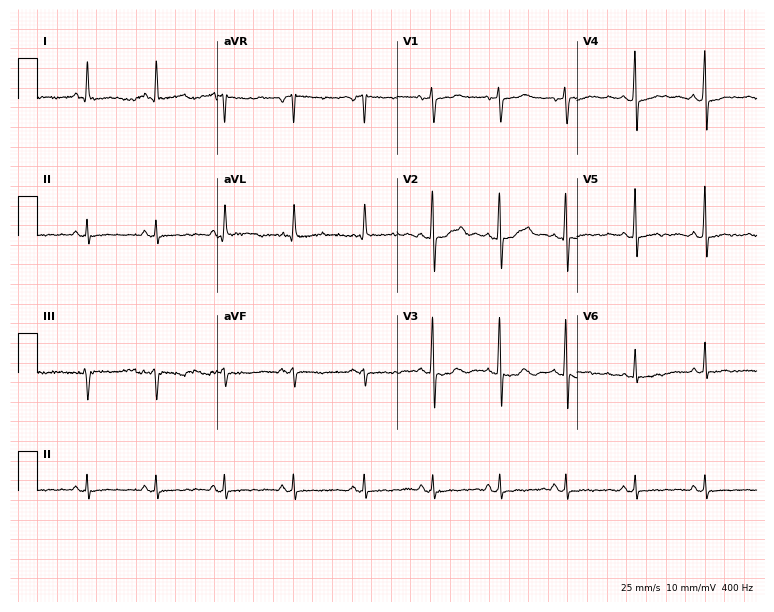
Resting 12-lead electrocardiogram (7.3-second recording at 400 Hz). Patient: a woman, 60 years old. None of these six findings is recorded: first-degree AV block, right bundle branch block (RBBB), left bundle branch block (LBBB), sinus bradycardia, atrial fibrillation (AF), sinus tachycardia.